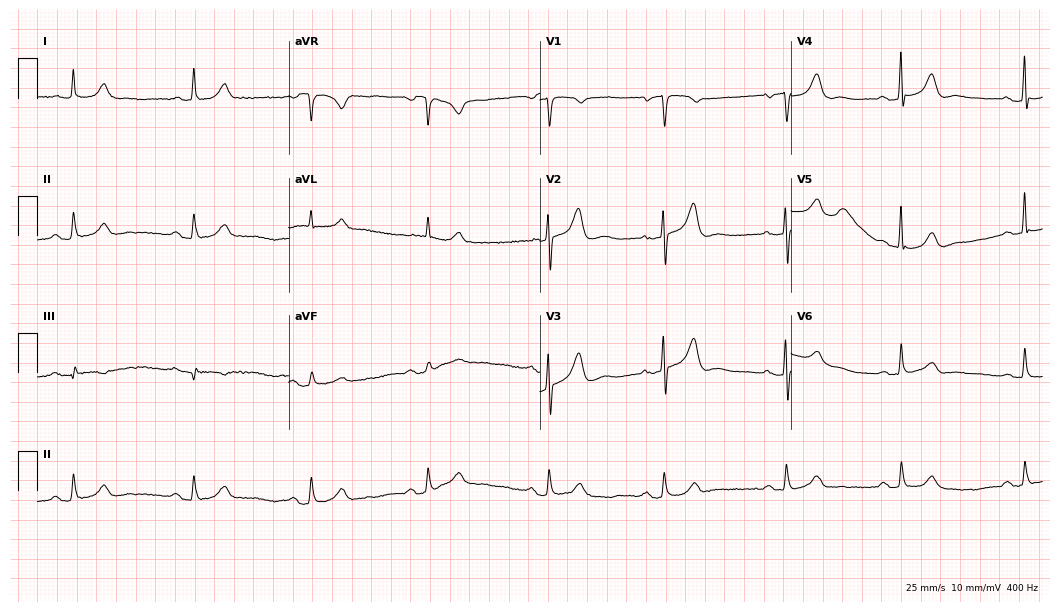
Resting 12-lead electrocardiogram. Patient: a female, 82 years old. None of these six findings is recorded: first-degree AV block, right bundle branch block, left bundle branch block, sinus bradycardia, atrial fibrillation, sinus tachycardia.